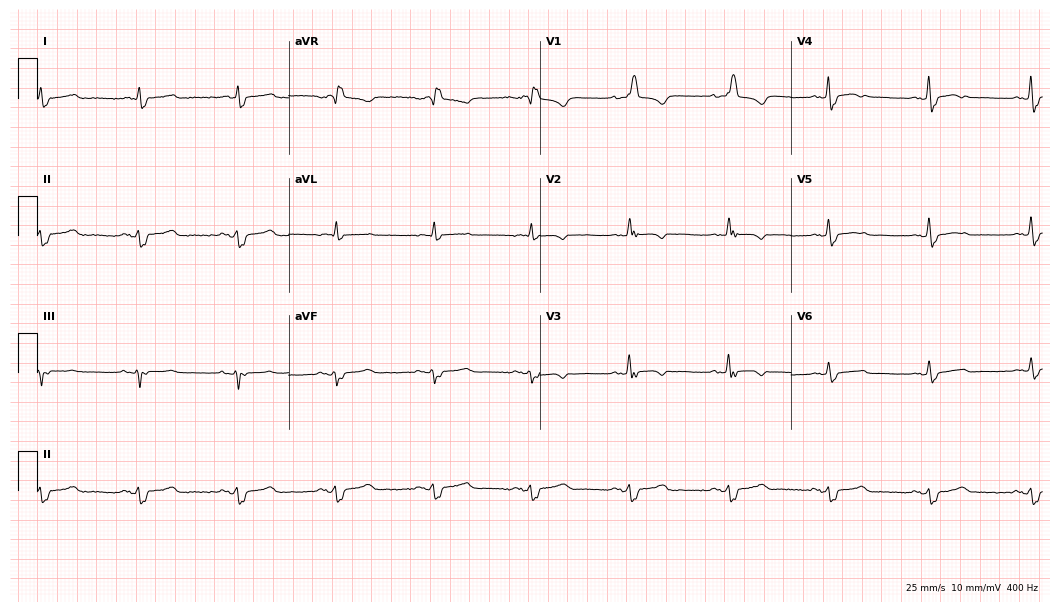
12-lead ECG from a female patient, 68 years old. Findings include right bundle branch block.